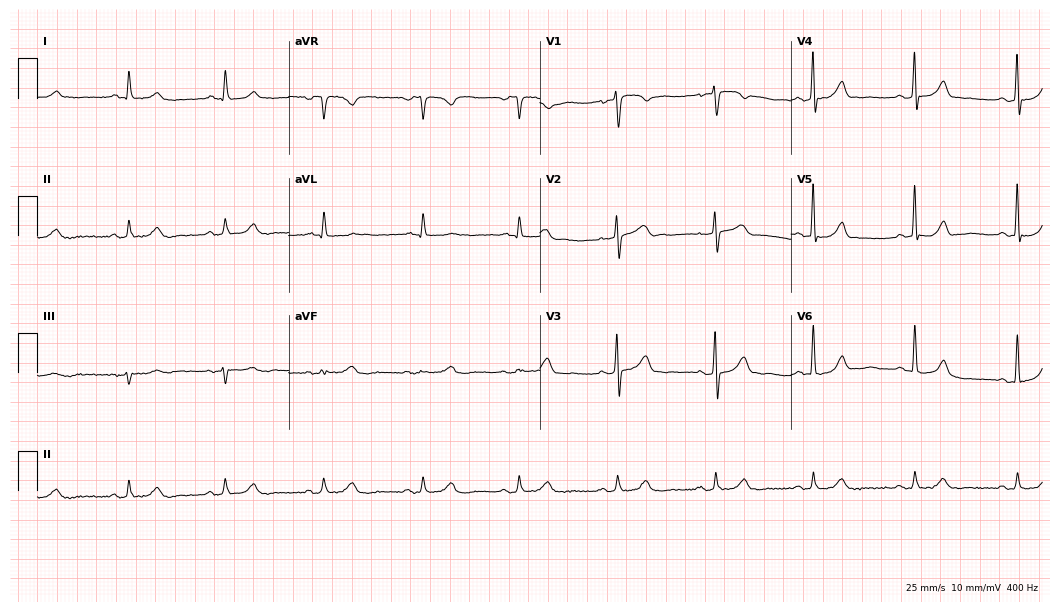
12-lead ECG (10.2-second recording at 400 Hz) from a female, 74 years old. Labelled as a normal ECG.